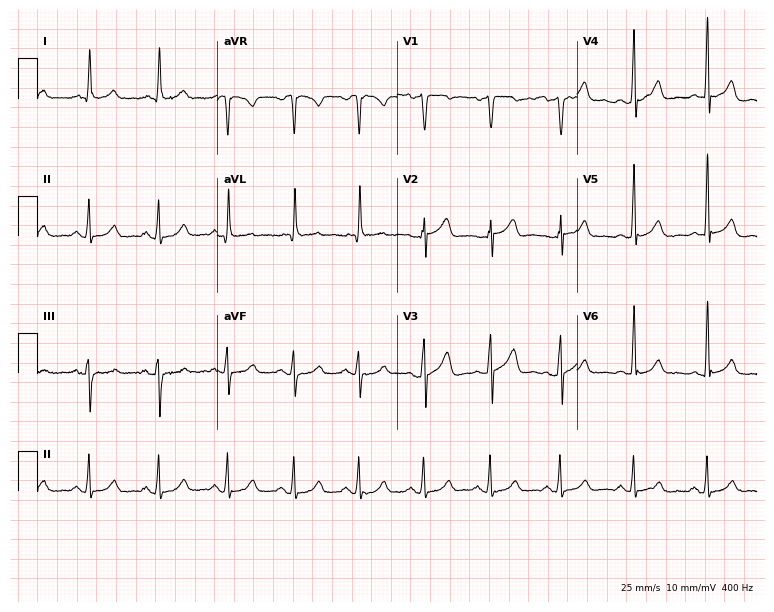
12-lead ECG from a 61-year-old female. No first-degree AV block, right bundle branch block, left bundle branch block, sinus bradycardia, atrial fibrillation or sinus tachycardia recorded for this tracing.